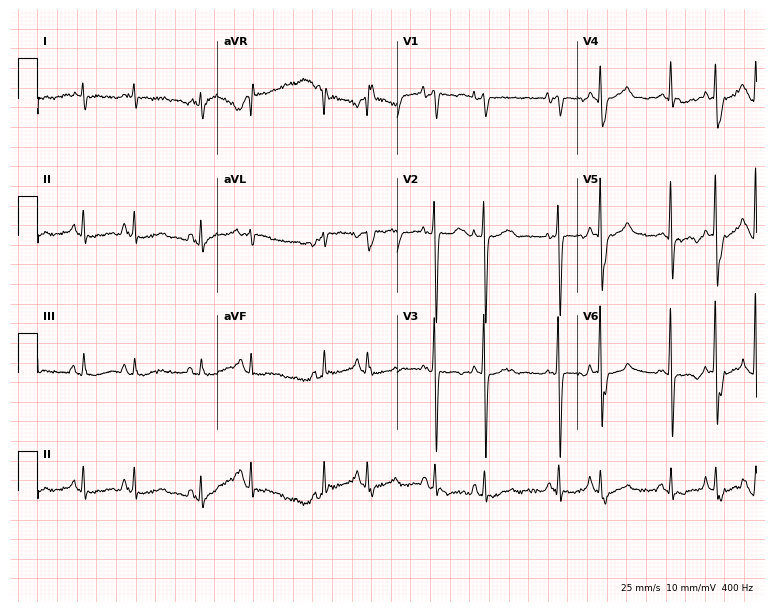
Electrocardiogram (7.3-second recording at 400 Hz), a 70-year-old man. Overall reading on record: normal ECG.